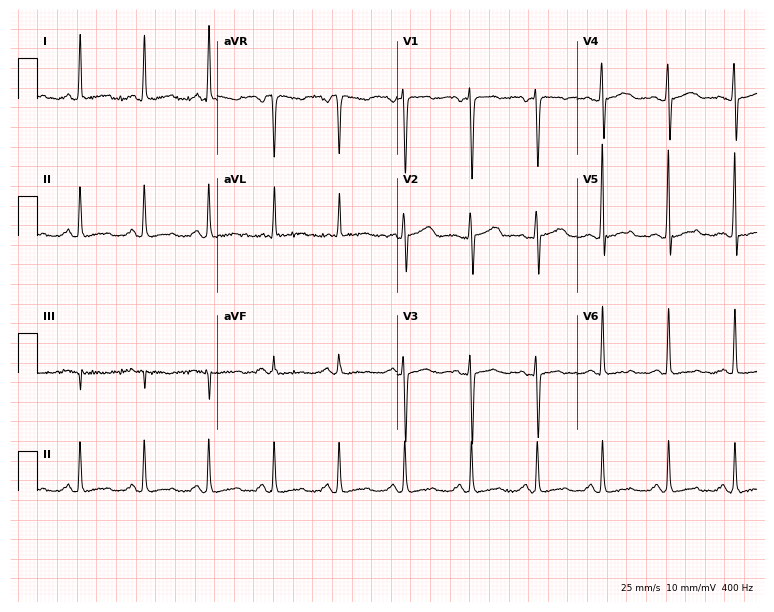
ECG (7.3-second recording at 400 Hz) — a female, 30 years old. Screened for six findings — first-degree AV block, right bundle branch block, left bundle branch block, sinus bradycardia, atrial fibrillation, sinus tachycardia — none is recorded. Only these six findings were labelled.